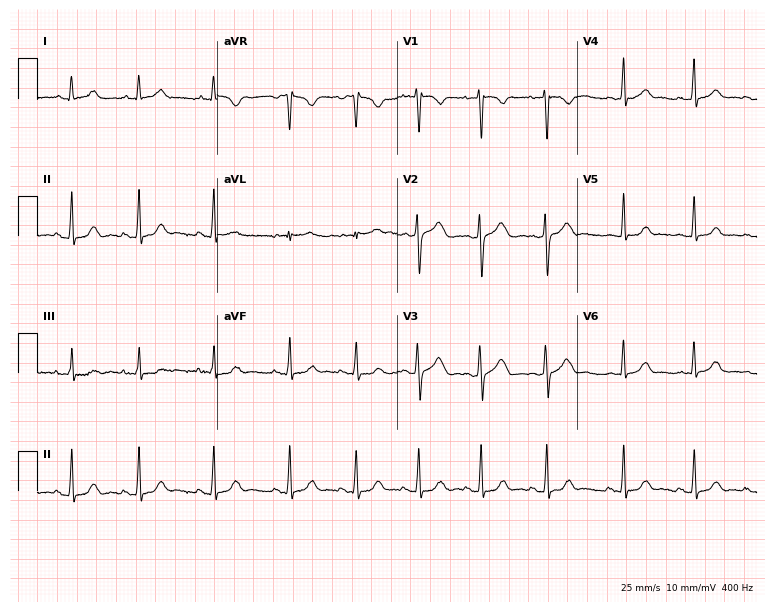
12-lead ECG from a 34-year-old woman. Labelled as a normal ECG.